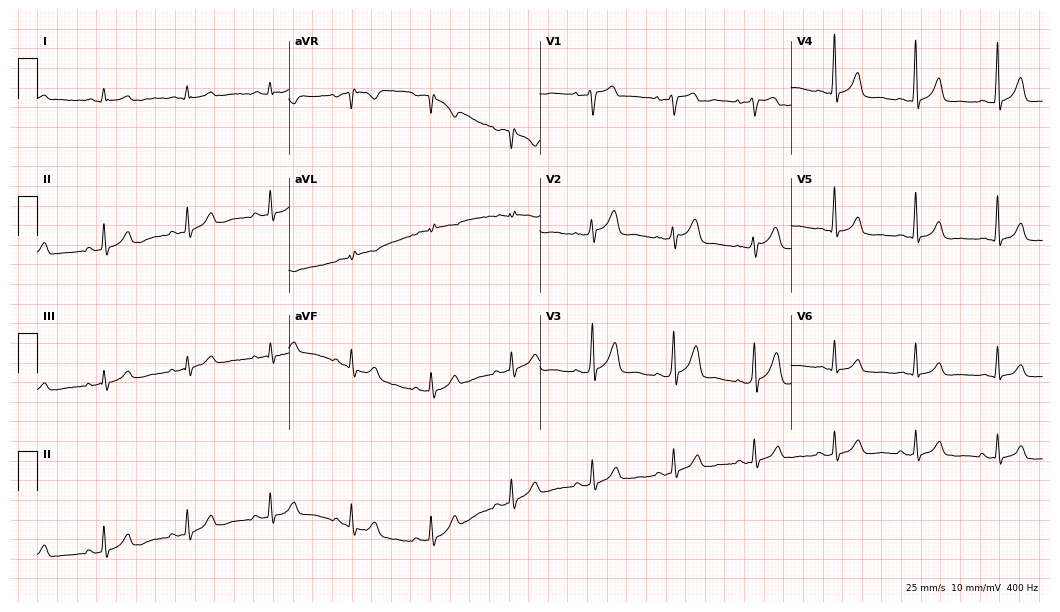
12-lead ECG from a male, 53 years old. Labelled as a normal ECG.